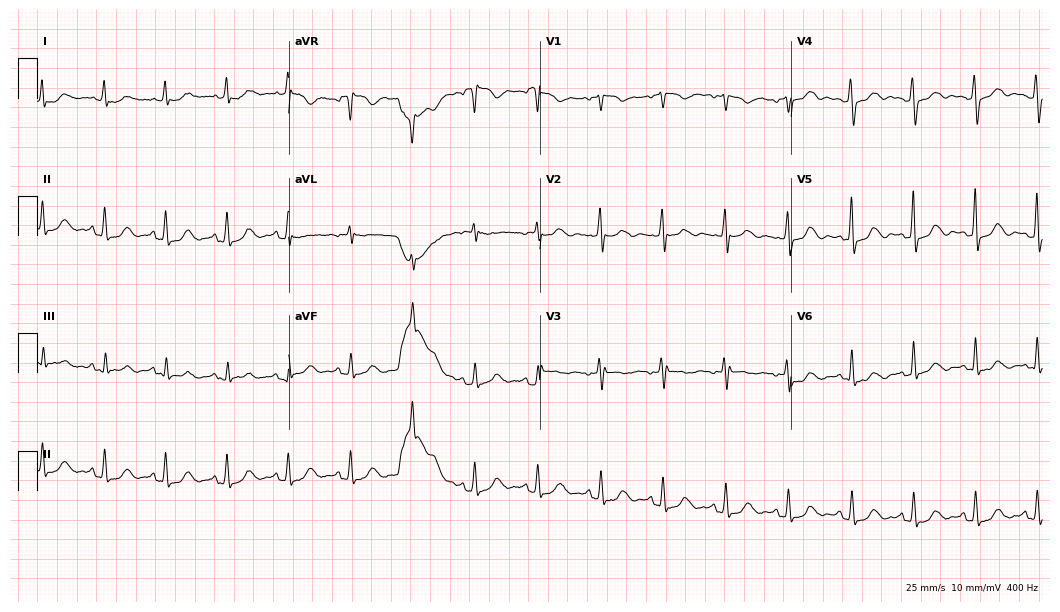
Resting 12-lead electrocardiogram. Patient: a woman, 52 years old. Read as a normal ECG.